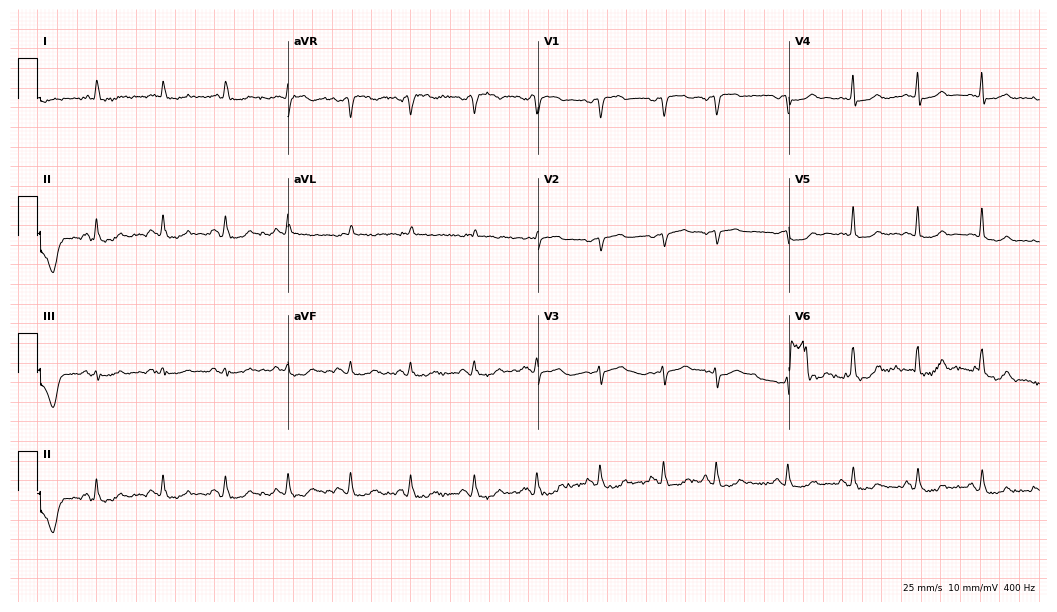
12-lead ECG from a 72-year-old male patient. No first-degree AV block, right bundle branch block (RBBB), left bundle branch block (LBBB), sinus bradycardia, atrial fibrillation (AF) or sinus tachycardia recorded for this tracing. Only these six findings were labelled.